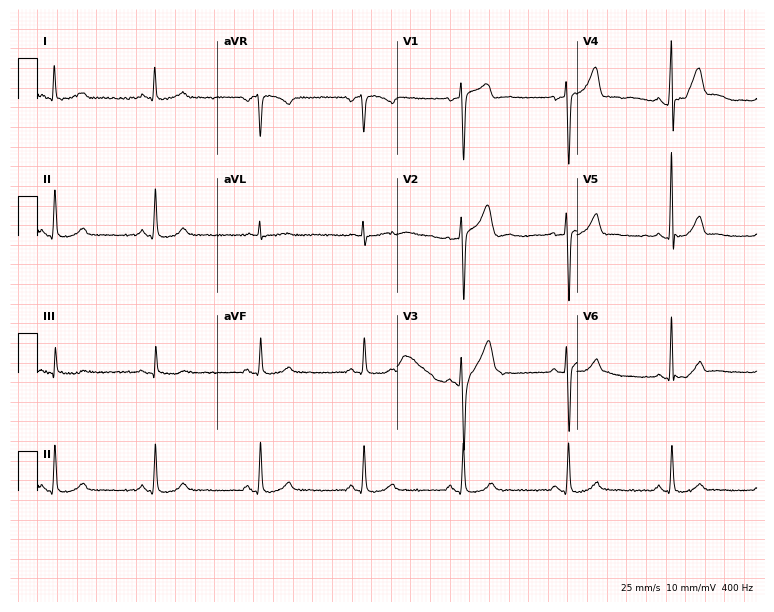
Standard 12-lead ECG recorded from a 49-year-old man. None of these six findings is recorded: first-degree AV block, right bundle branch block, left bundle branch block, sinus bradycardia, atrial fibrillation, sinus tachycardia.